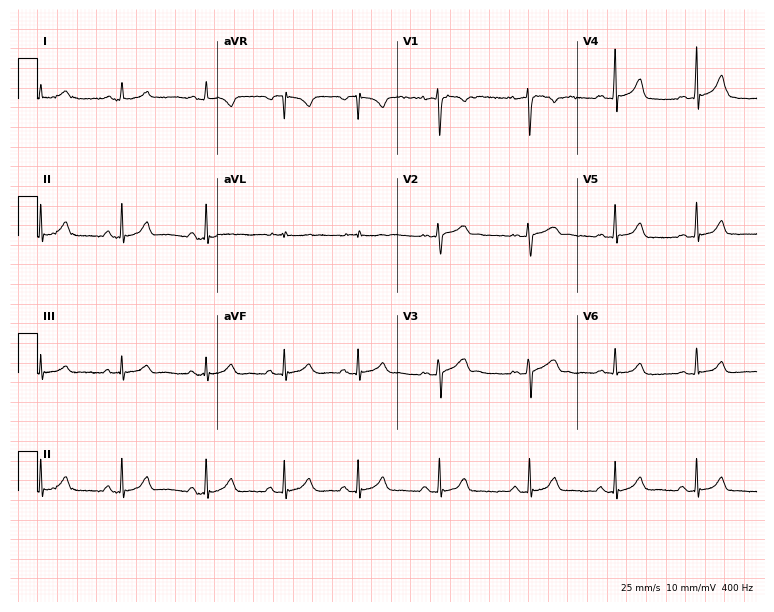
ECG (7.3-second recording at 400 Hz) — a 21-year-old woman. Labelled as a normal ECG.